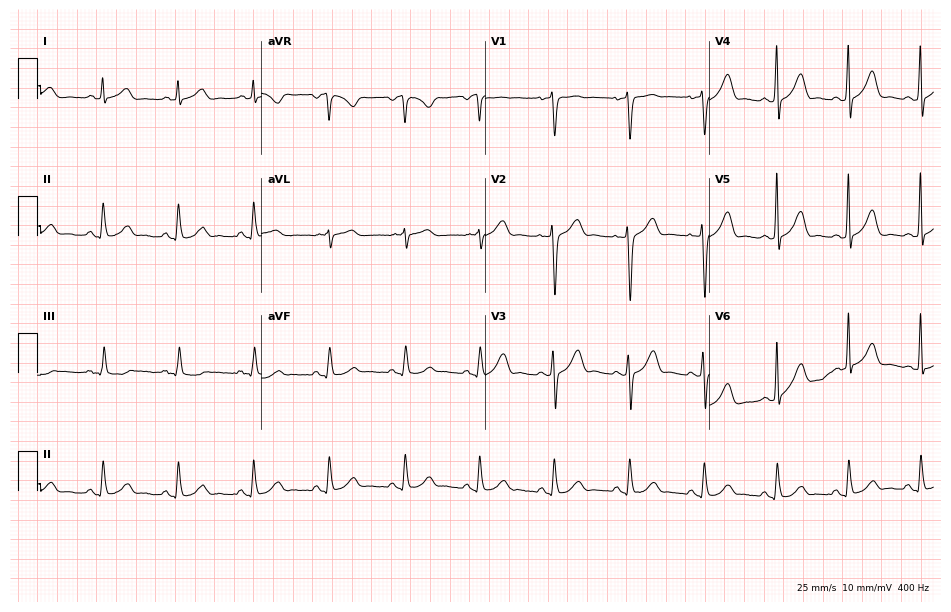
12-lead ECG (9.1-second recording at 400 Hz) from a man, 62 years old. Screened for six findings — first-degree AV block, right bundle branch block (RBBB), left bundle branch block (LBBB), sinus bradycardia, atrial fibrillation (AF), sinus tachycardia — none is recorded. Findings outside these six are not listed.